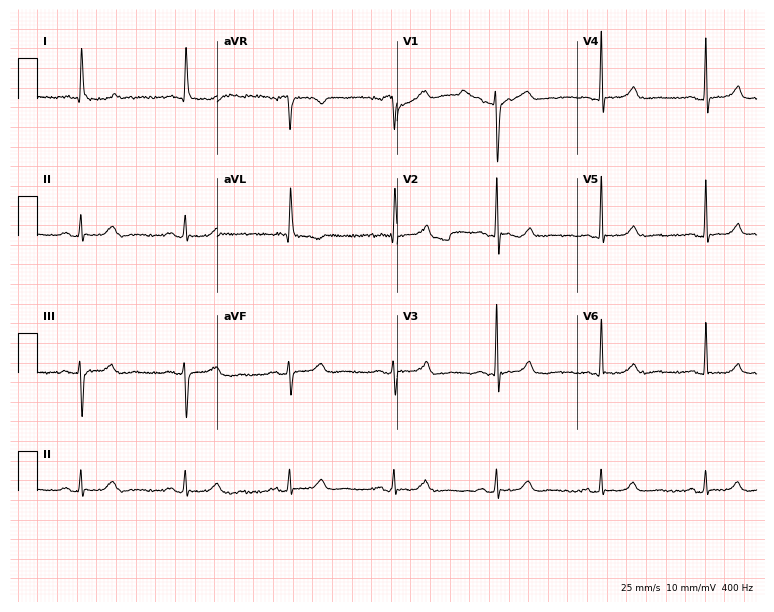
Resting 12-lead electrocardiogram. Patient: a woman, 77 years old. None of these six findings is recorded: first-degree AV block, right bundle branch block, left bundle branch block, sinus bradycardia, atrial fibrillation, sinus tachycardia. Only these six findings were labelled.